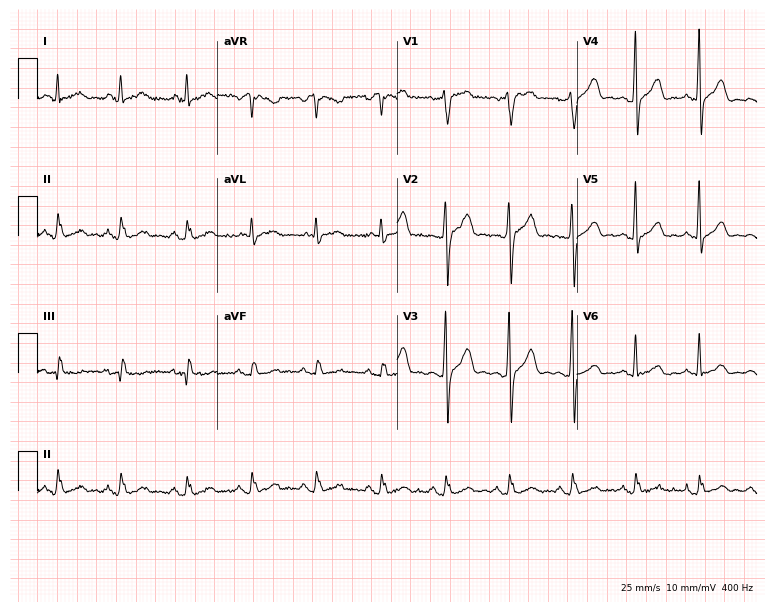
Resting 12-lead electrocardiogram. Patient: a 30-year-old male. Read as a normal ECG.